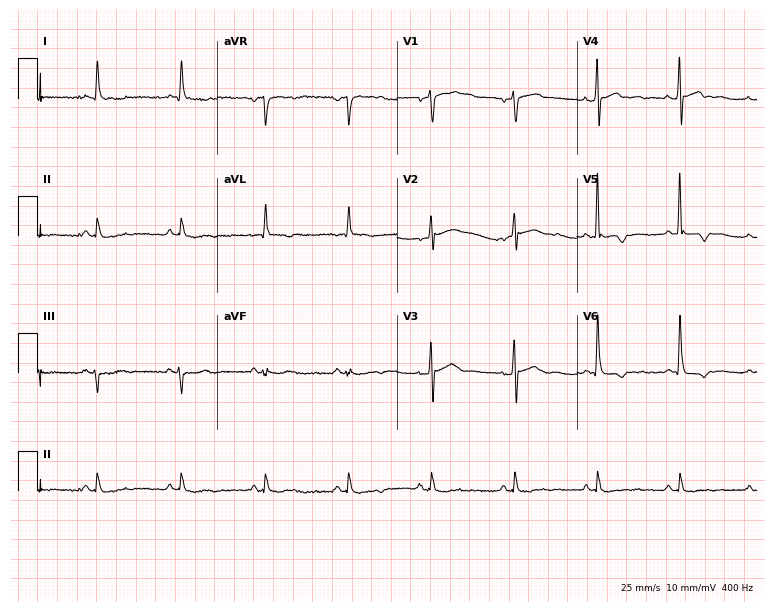
Standard 12-lead ECG recorded from a male, 79 years old (7.3-second recording at 400 Hz). Read as a normal ECG.